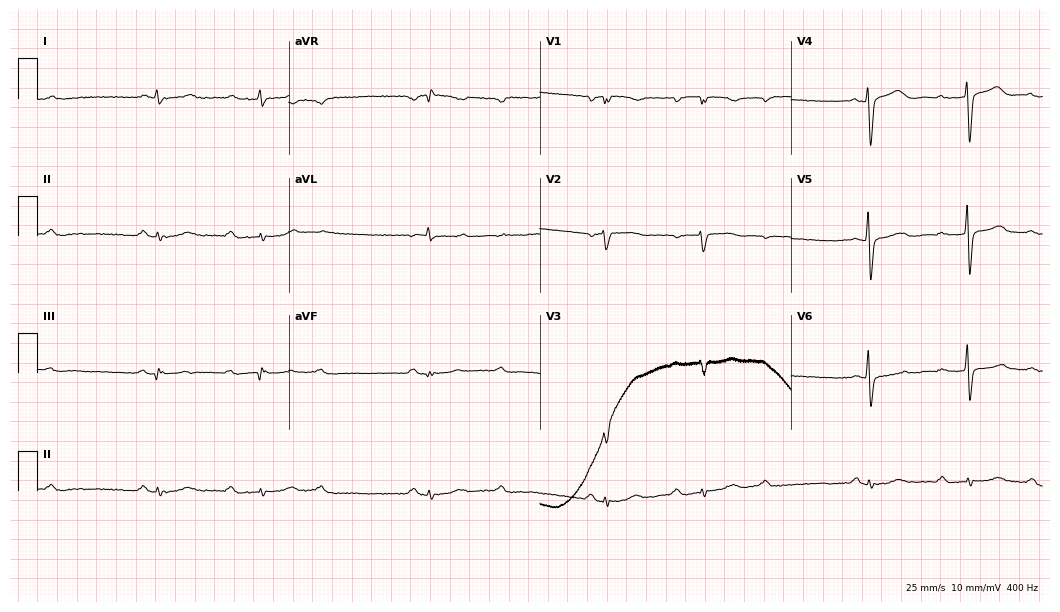
Resting 12-lead electrocardiogram. Patient: a woman, 76 years old. None of these six findings is recorded: first-degree AV block, right bundle branch block (RBBB), left bundle branch block (LBBB), sinus bradycardia, atrial fibrillation (AF), sinus tachycardia.